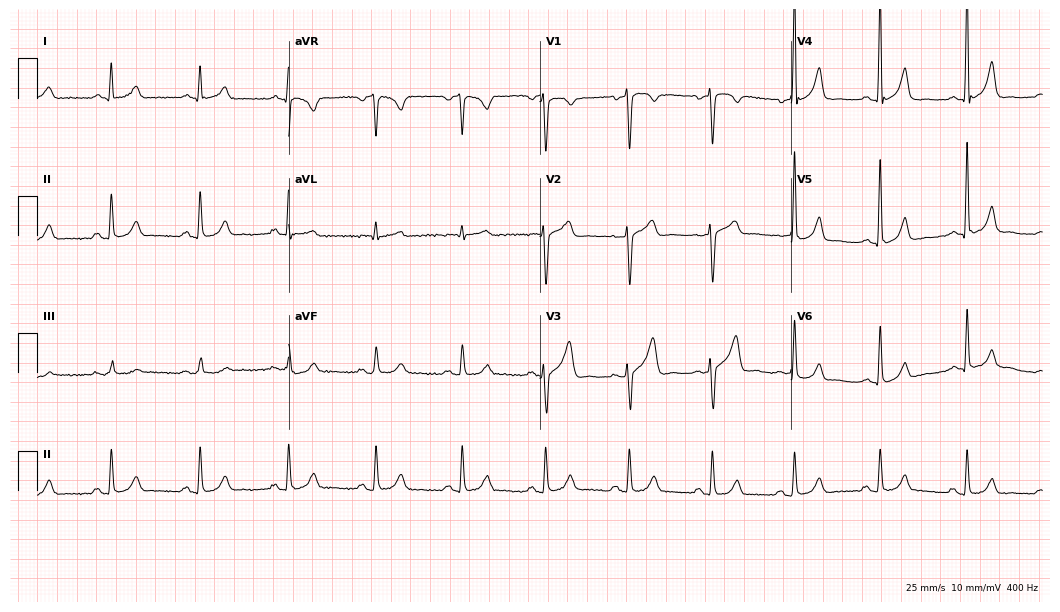
Standard 12-lead ECG recorded from a 54-year-old male. None of these six findings is recorded: first-degree AV block, right bundle branch block, left bundle branch block, sinus bradycardia, atrial fibrillation, sinus tachycardia. Only these six findings were labelled.